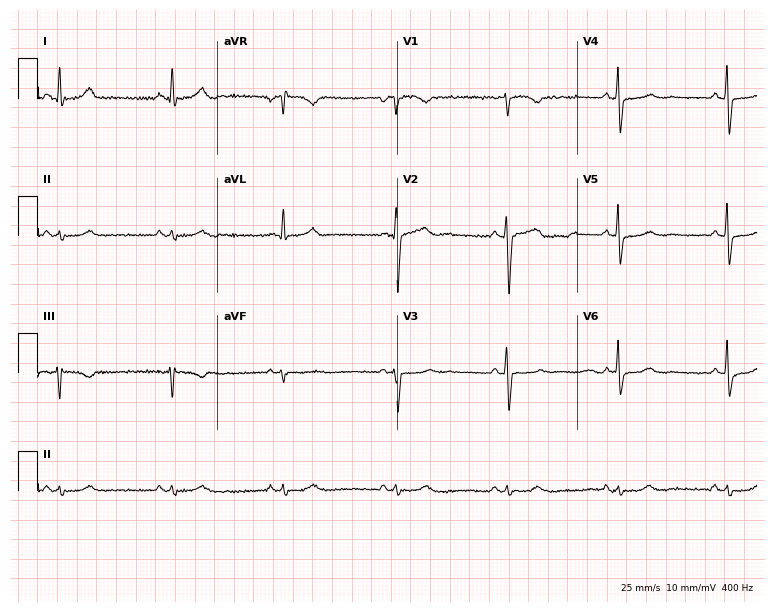
Resting 12-lead electrocardiogram (7.3-second recording at 400 Hz). Patient: a 41-year-old male. Read as a normal ECG.